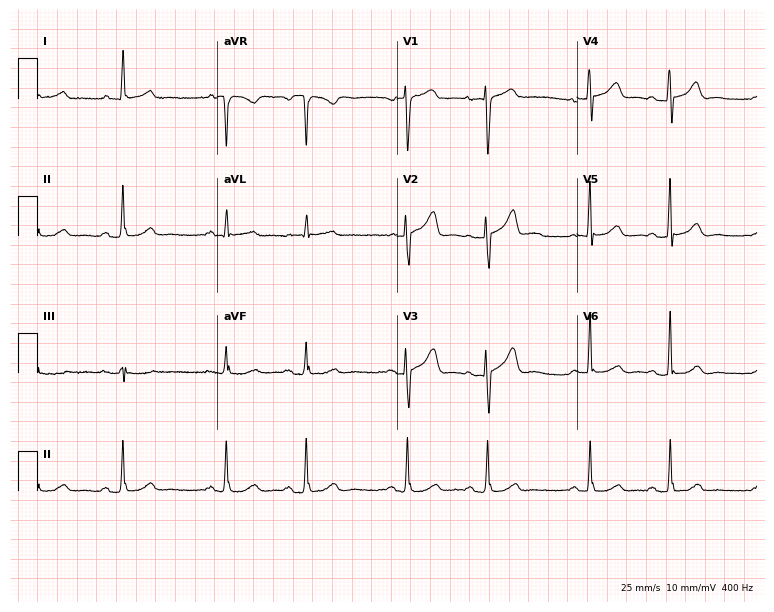
12-lead ECG from a 75-year-old woman. Screened for six findings — first-degree AV block, right bundle branch block, left bundle branch block, sinus bradycardia, atrial fibrillation, sinus tachycardia — none is recorded.